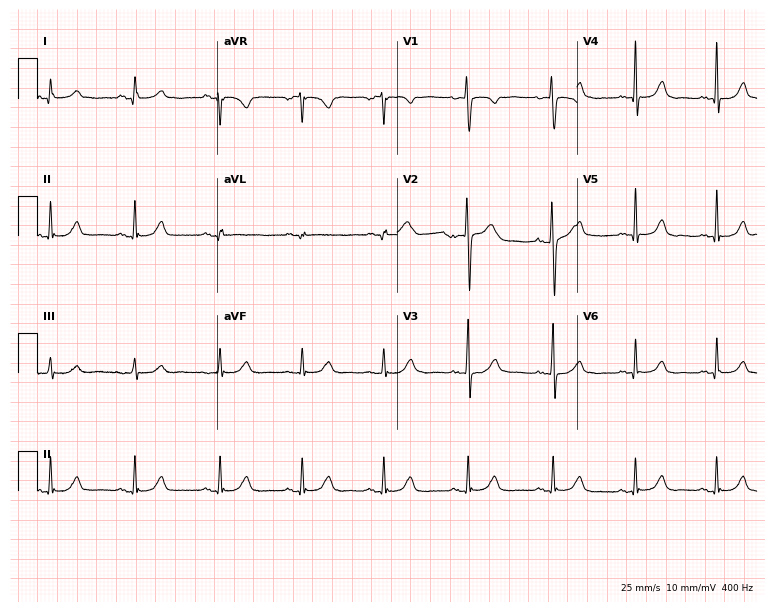
Electrocardiogram, a 48-year-old female patient. Of the six screened findings (first-degree AV block, right bundle branch block, left bundle branch block, sinus bradycardia, atrial fibrillation, sinus tachycardia), none is recorded.